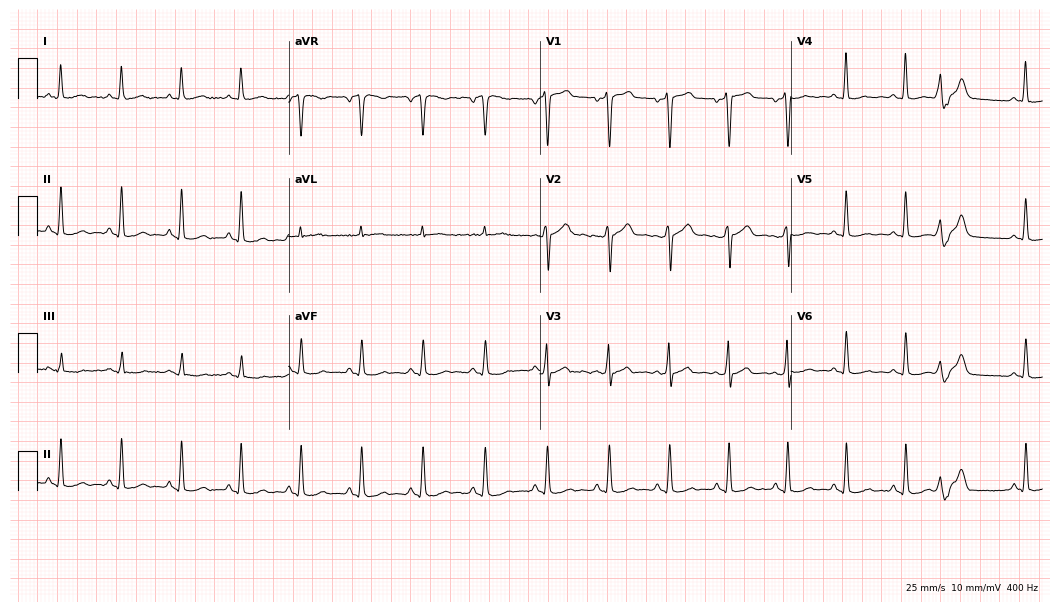
Standard 12-lead ECG recorded from a 49-year-old male (10.2-second recording at 400 Hz). None of these six findings is recorded: first-degree AV block, right bundle branch block, left bundle branch block, sinus bradycardia, atrial fibrillation, sinus tachycardia.